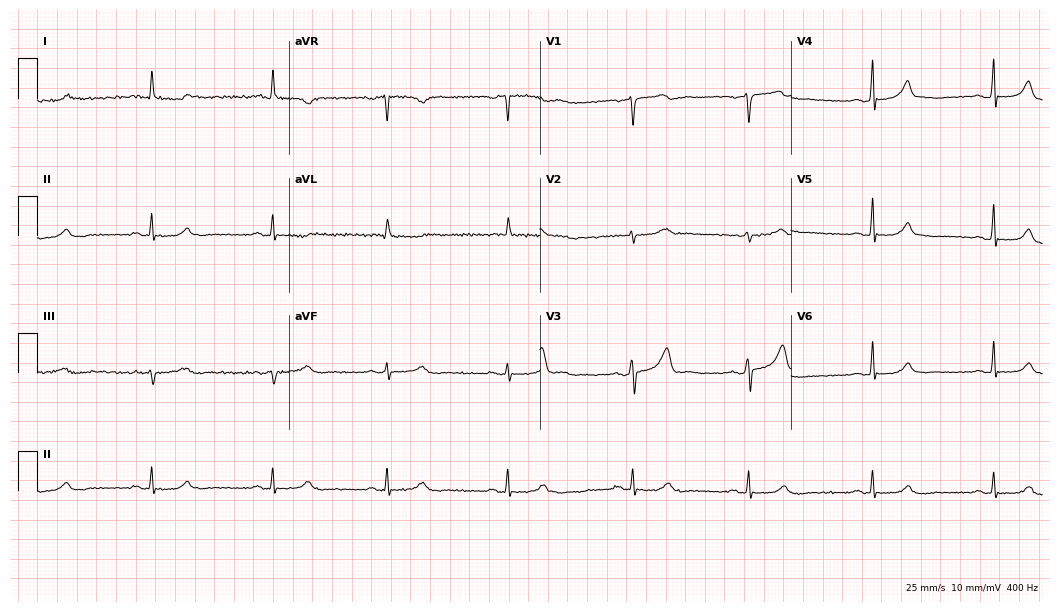
Resting 12-lead electrocardiogram (10.2-second recording at 400 Hz). Patient: a female, 56 years old. Read as a normal ECG.